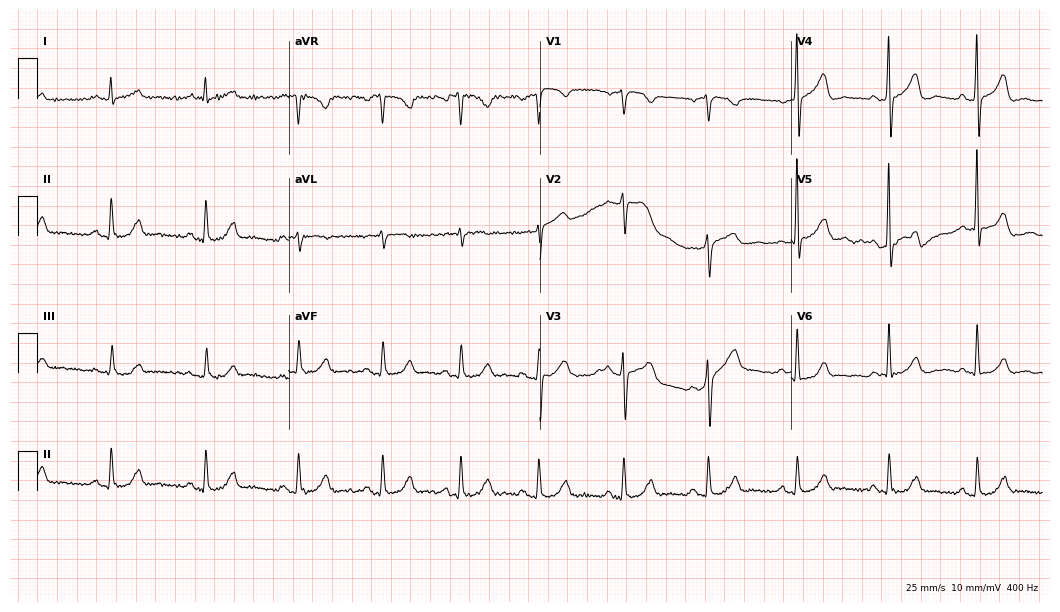
12-lead ECG from a 73-year-old male patient. Labelled as a normal ECG.